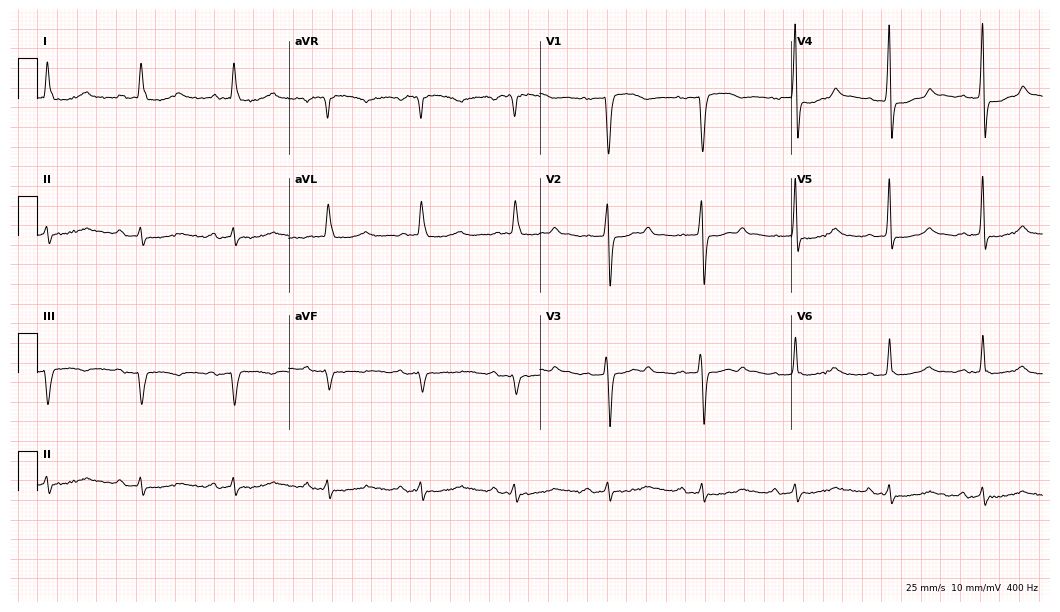
Resting 12-lead electrocardiogram (10.2-second recording at 400 Hz). Patient: a female, 86 years old. None of these six findings is recorded: first-degree AV block, right bundle branch block (RBBB), left bundle branch block (LBBB), sinus bradycardia, atrial fibrillation (AF), sinus tachycardia.